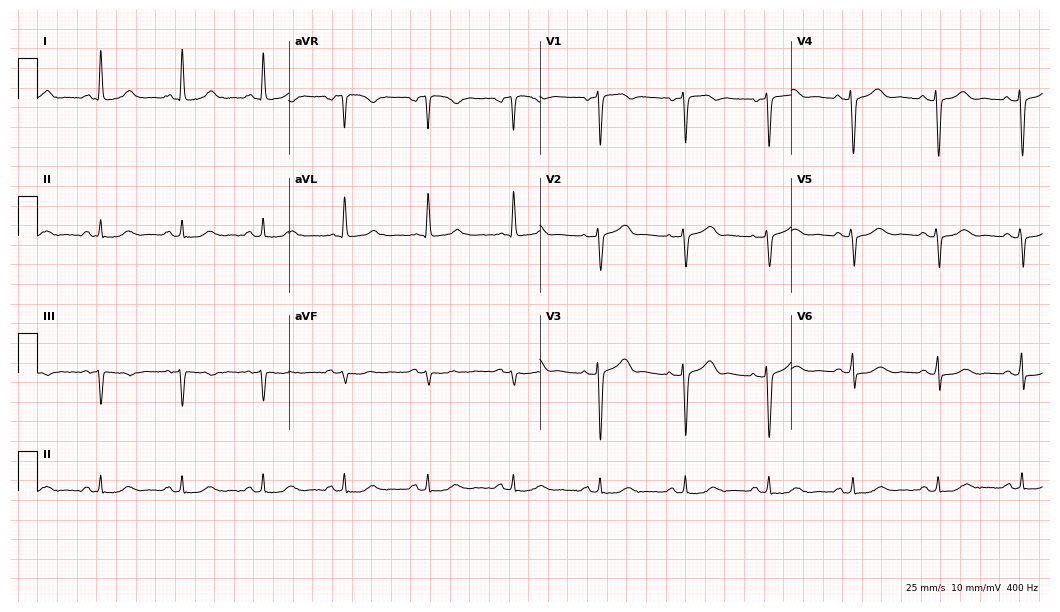
ECG (10.2-second recording at 400 Hz) — an 84-year-old female patient. Labelled as a normal ECG.